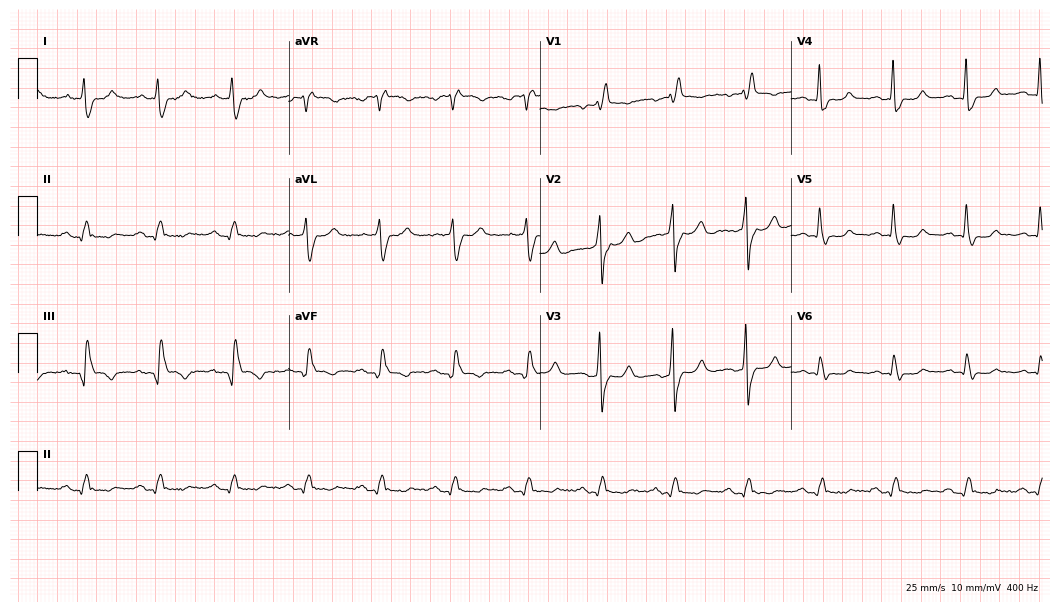
12-lead ECG (10.2-second recording at 400 Hz) from a male, 67 years old. Screened for six findings — first-degree AV block, right bundle branch block (RBBB), left bundle branch block (LBBB), sinus bradycardia, atrial fibrillation (AF), sinus tachycardia — none is recorded.